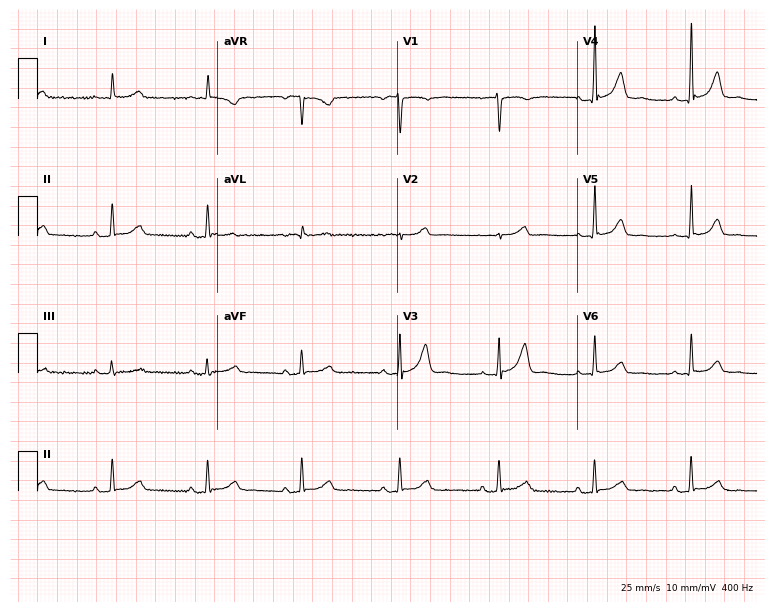
Standard 12-lead ECG recorded from a 72-year-old man. Read as a normal ECG.